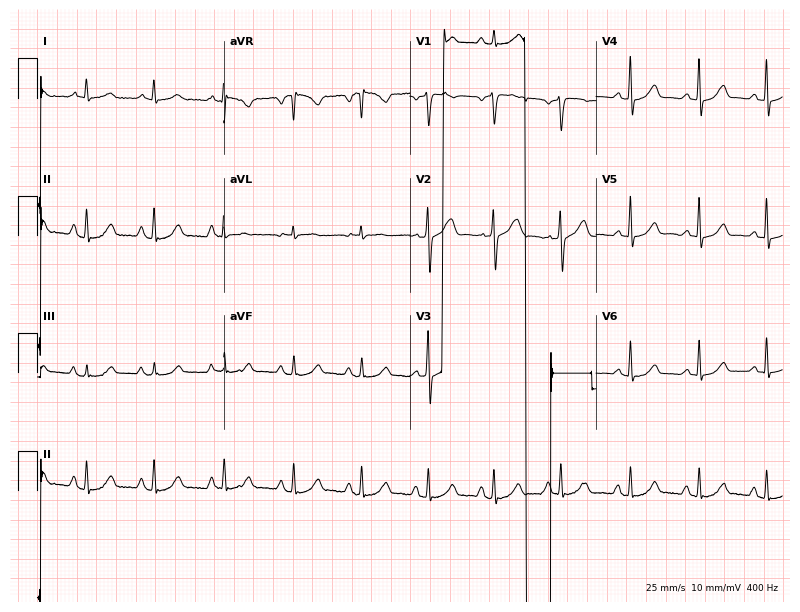
ECG — a 38-year-old male patient. Screened for six findings — first-degree AV block, right bundle branch block, left bundle branch block, sinus bradycardia, atrial fibrillation, sinus tachycardia — none is recorded.